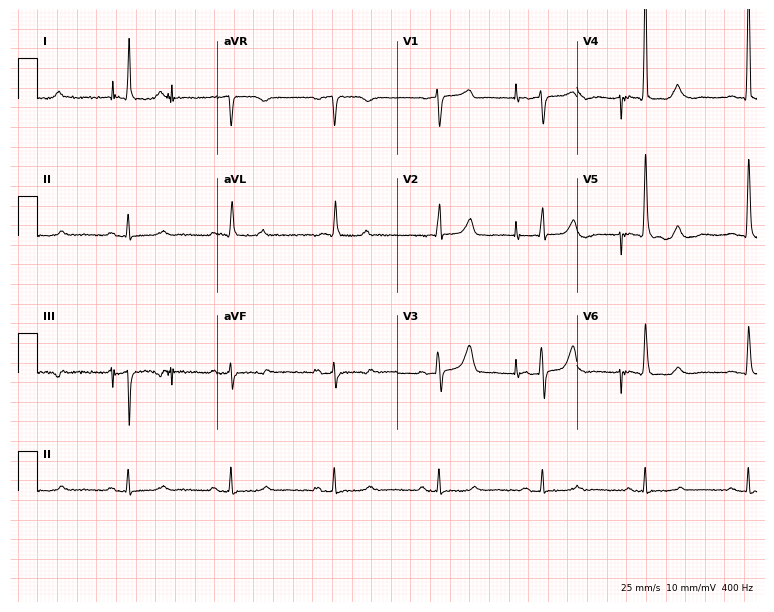
ECG — an 84-year-old female. Screened for six findings — first-degree AV block, right bundle branch block (RBBB), left bundle branch block (LBBB), sinus bradycardia, atrial fibrillation (AF), sinus tachycardia — none is recorded.